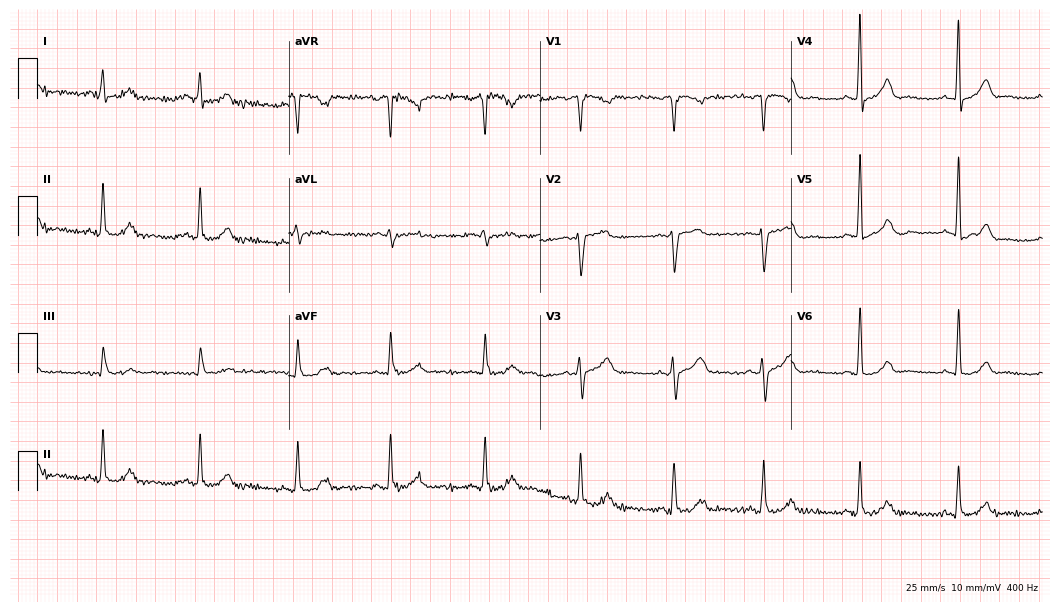
Standard 12-lead ECG recorded from a 56-year-old woman. Read as a normal ECG.